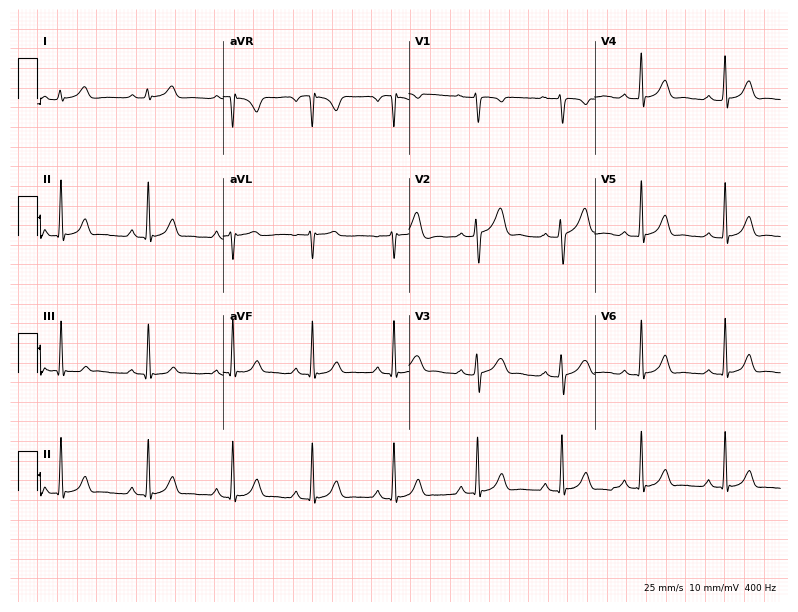
Electrocardiogram (7.6-second recording at 400 Hz), a female, 21 years old. Overall reading on record: normal ECG.